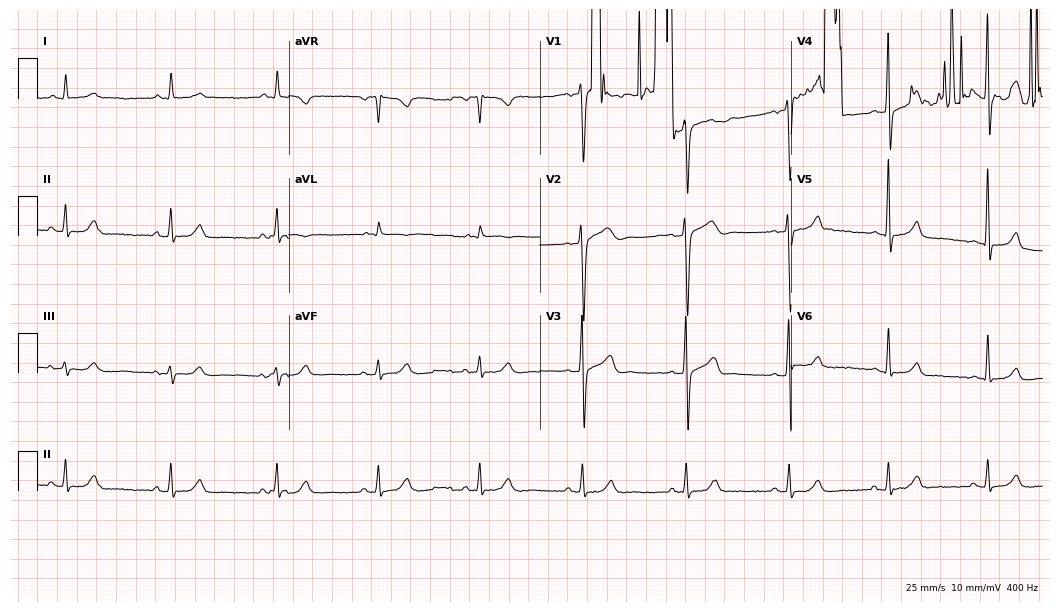
Standard 12-lead ECG recorded from a 55-year-old male. None of these six findings is recorded: first-degree AV block, right bundle branch block (RBBB), left bundle branch block (LBBB), sinus bradycardia, atrial fibrillation (AF), sinus tachycardia.